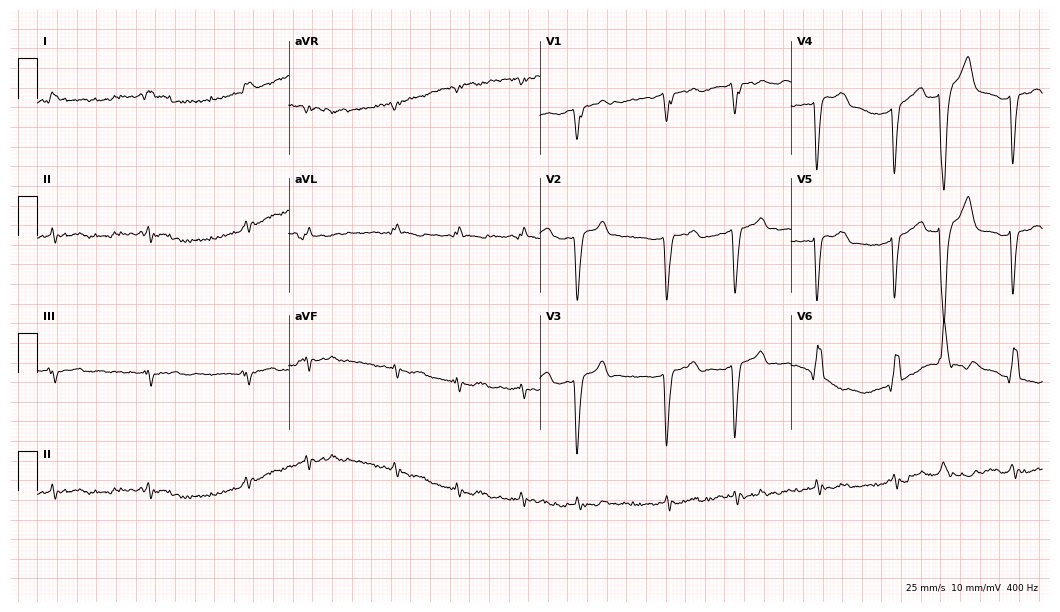
Resting 12-lead electrocardiogram. Patient: a 56-year-old male. The tracing shows left bundle branch block (LBBB), atrial fibrillation (AF).